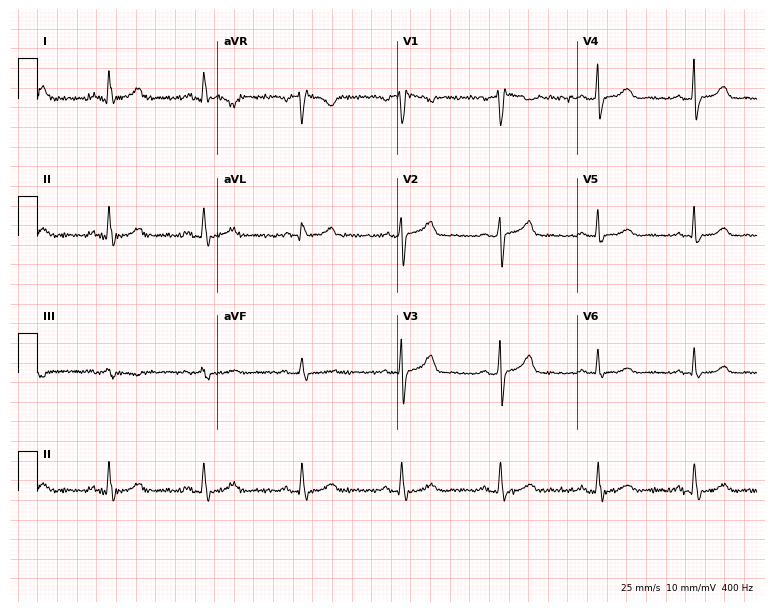
Resting 12-lead electrocardiogram. Patient: a female, 58 years old. Read as a normal ECG.